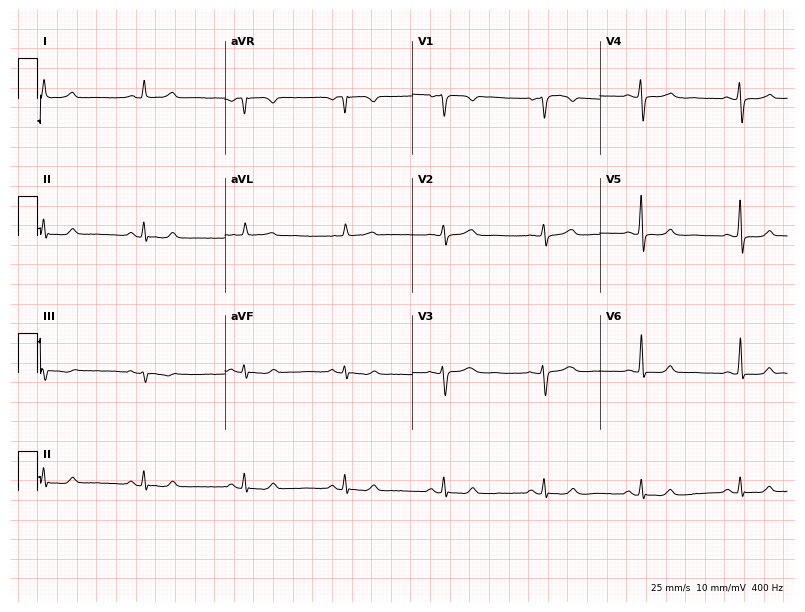
ECG — a 67-year-old female. Labelled as a normal ECG.